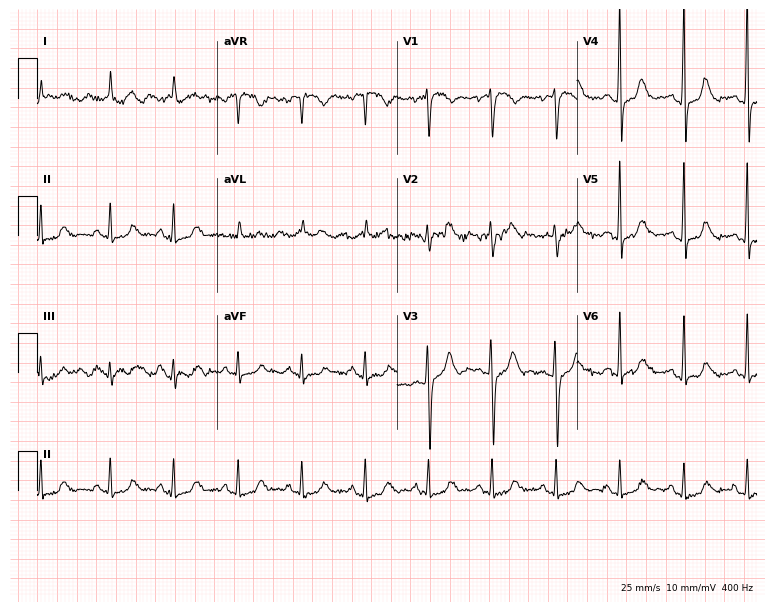
12-lead ECG from a woman, 80 years old. No first-degree AV block, right bundle branch block (RBBB), left bundle branch block (LBBB), sinus bradycardia, atrial fibrillation (AF) or sinus tachycardia recorded for this tracing.